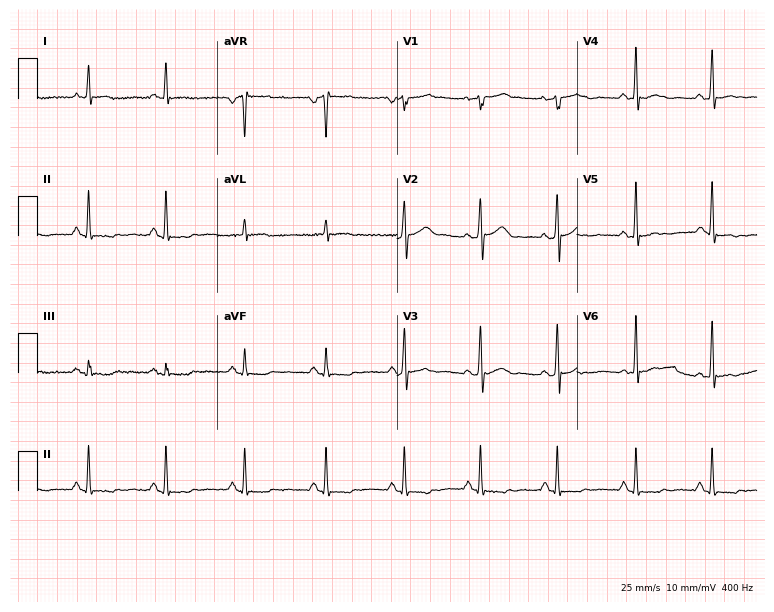
Resting 12-lead electrocardiogram (7.3-second recording at 400 Hz). Patient: a 57-year-old female. None of these six findings is recorded: first-degree AV block, right bundle branch block, left bundle branch block, sinus bradycardia, atrial fibrillation, sinus tachycardia. Findings outside these six are not listed.